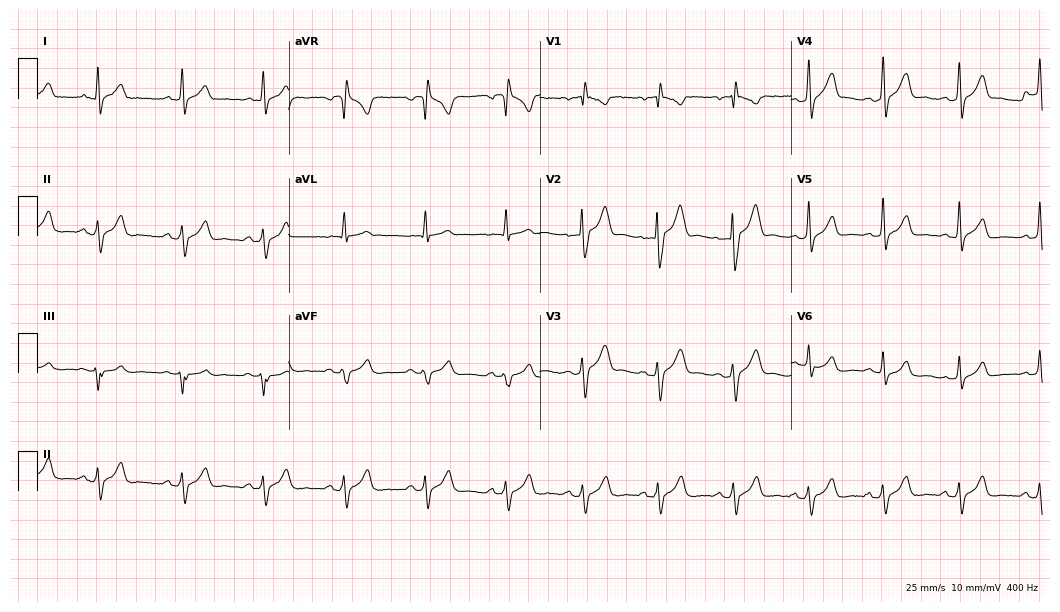
Electrocardiogram, a man, 22 years old. Overall reading on record: normal ECG.